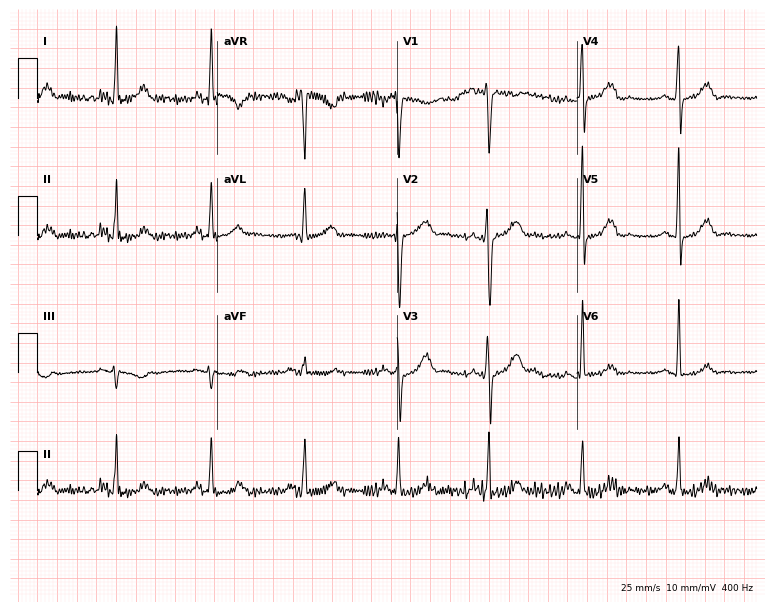
Resting 12-lead electrocardiogram. Patient: a female, 36 years old. Read as a normal ECG.